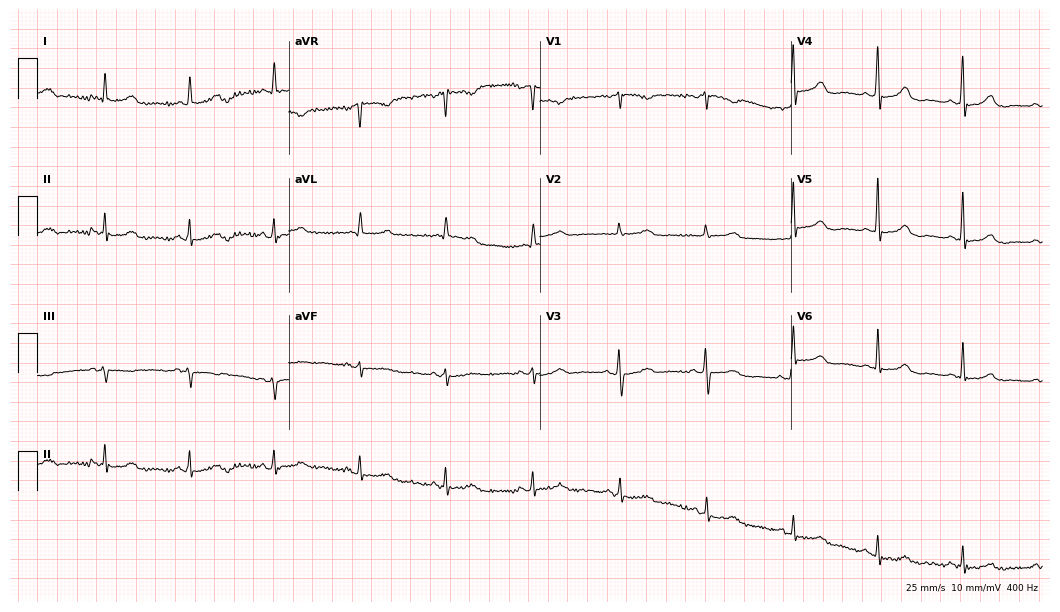
Standard 12-lead ECG recorded from a 73-year-old female patient. Read as a normal ECG.